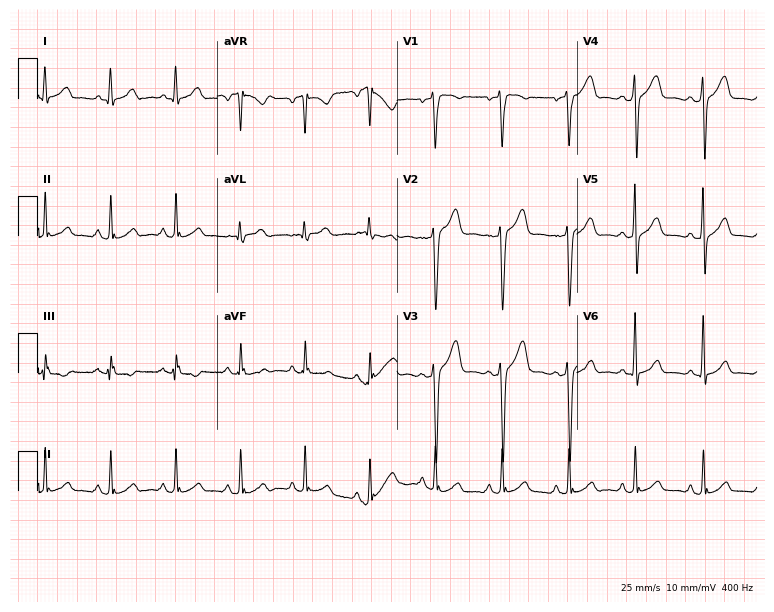
ECG (7.3-second recording at 400 Hz) — a man, 42 years old. Screened for six findings — first-degree AV block, right bundle branch block, left bundle branch block, sinus bradycardia, atrial fibrillation, sinus tachycardia — none is recorded.